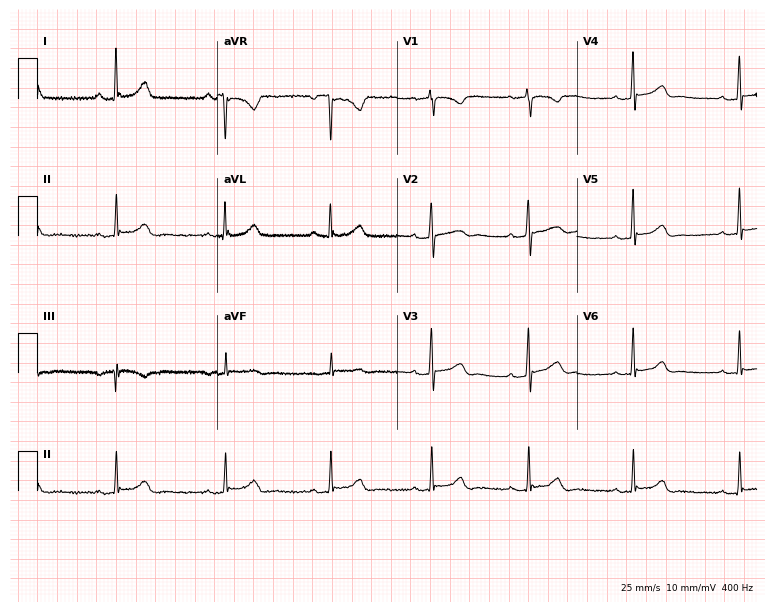
12-lead ECG from a woman, 48 years old. Screened for six findings — first-degree AV block, right bundle branch block (RBBB), left bundle branch block (LBBB), sinus bradycardia, atrial fibrillation (AF), sinus tachycardia — none is recorded. Only these six findings were labelled.